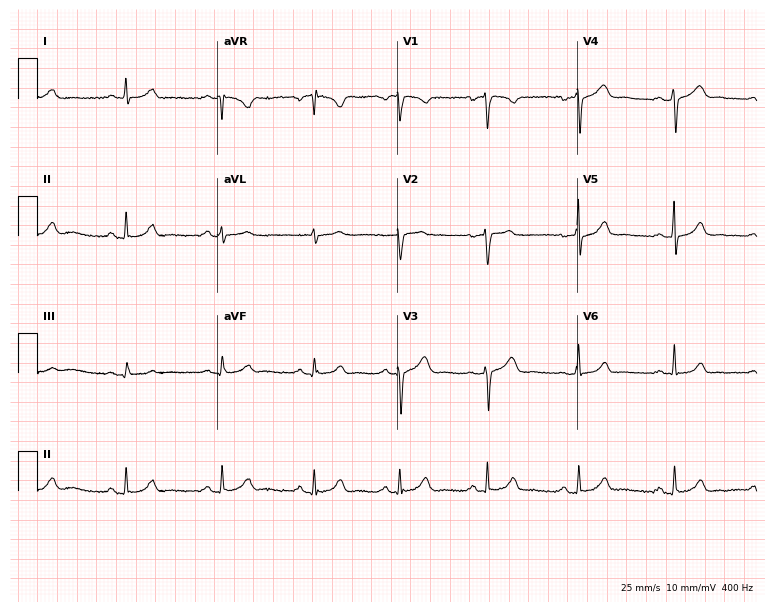
Electrocardiogram (7.3-second recording at 400 Hz), a 37-year-old female. Overall reading on record: normal ECG.